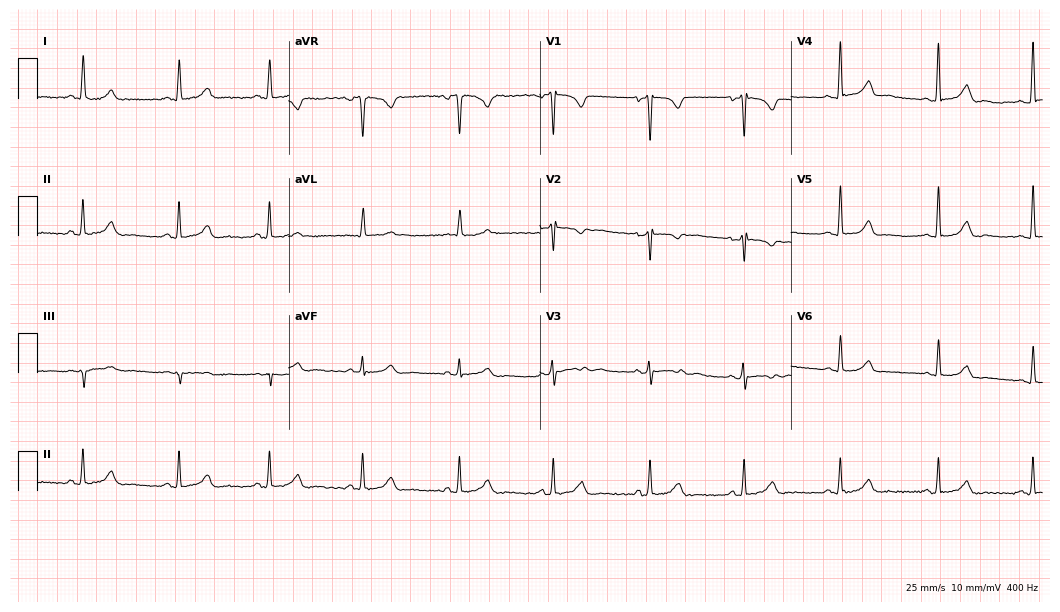
ECG — a woman, 27 years old. Labelled as a normal ECG.